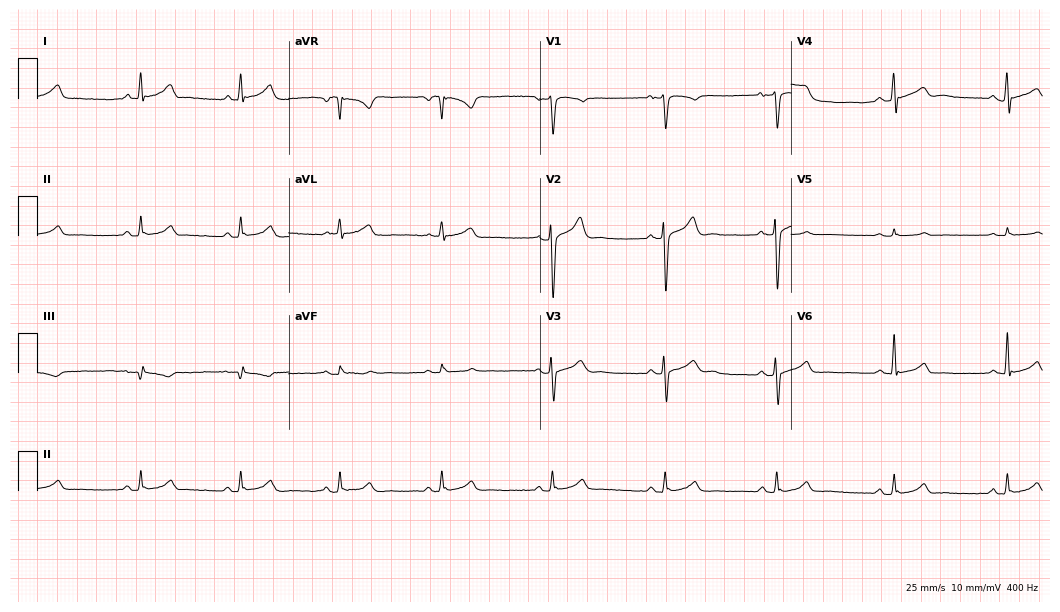
12-lead ECG from a 37-year-old male patient. Recorded interpretation: within normal limits.